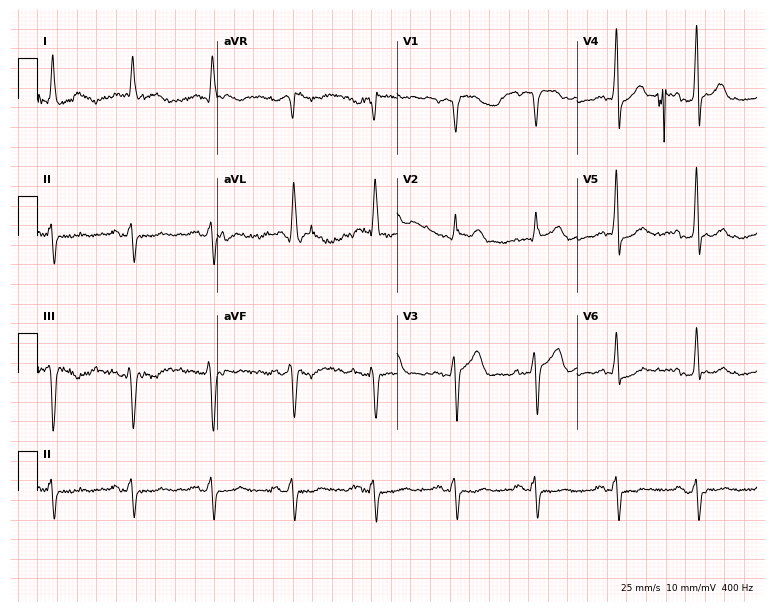
Standard 12-lead ECG recorded from a 75-year-old man (7.3-second recording at 400 Hz). None of these six findings is recorded: first-degree AV block, right bundle branch block, left bundle branch block, sinus bradycardia, atrial fibrillation, sinus tachycardia.